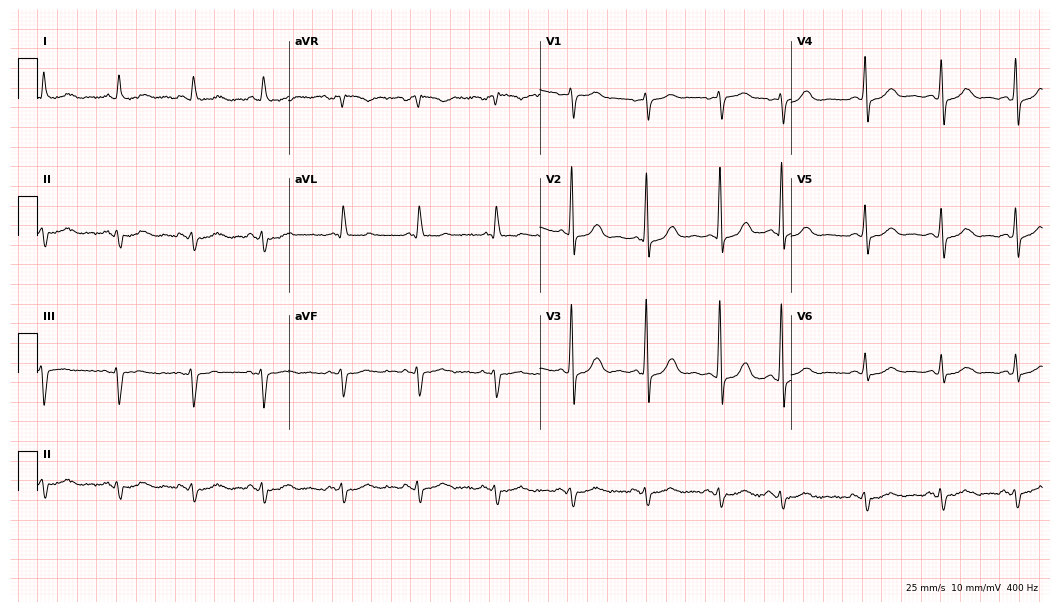
12-lead ECG from a 73-year-old male patient. No first-degree AV block, right bundle branch block (RBBB), left bundle branch block (LBBB), sinus bradycardia, atrial fibrillation (AF) or sinus tachycardia recorded for this tracing. Findings outside these six are not listed.